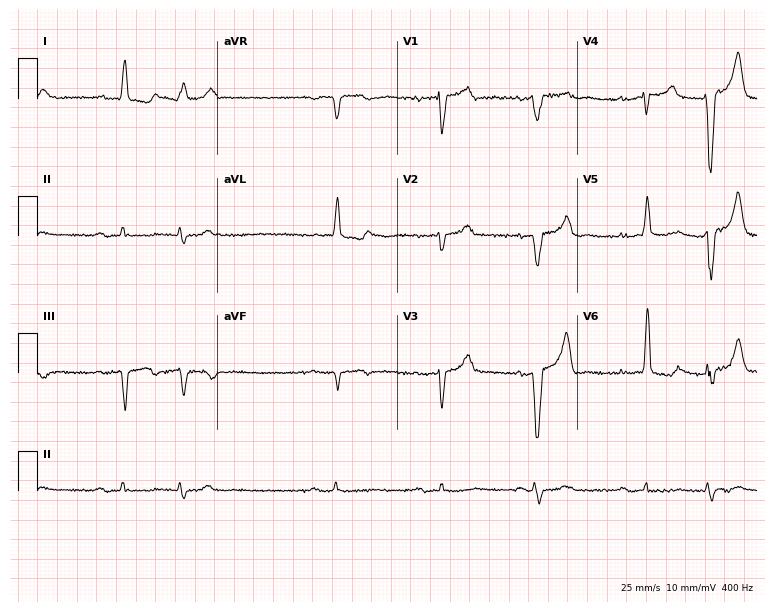
12-lead ECG (7.3-second recording at 400 Hz) from a male, 82 years old. Screened for six findings — first-degree AV block, right bundle branch block, left bundle branch block, sinus bradycardia, atrial fibrillation, sinus tachycardia — none is recorded.